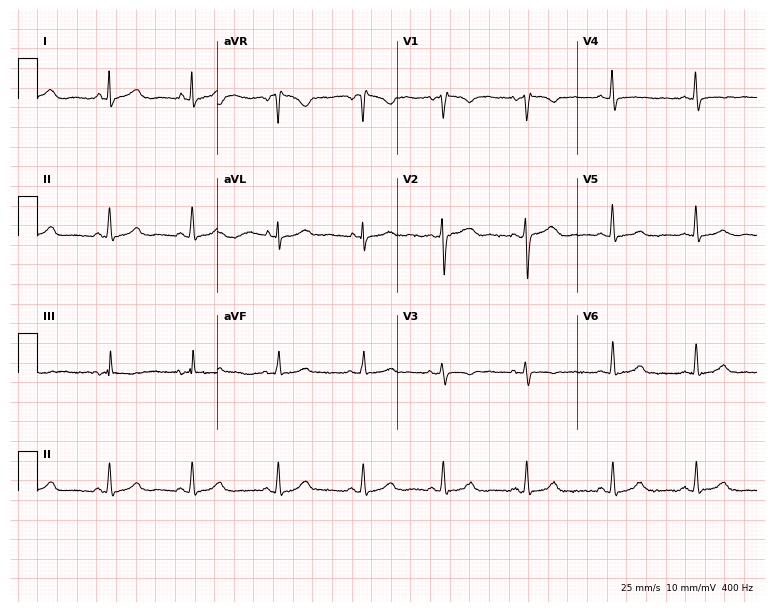
Standard 12-lead ECG recorded from a woman, 44 years old. None of these six findings is recorded: first-degree AV block, right bundle branch block, left bundle branch block, sinus bradycardia, atrial fibrillation, sinus tachycardia. Findings outside these six are not listed.